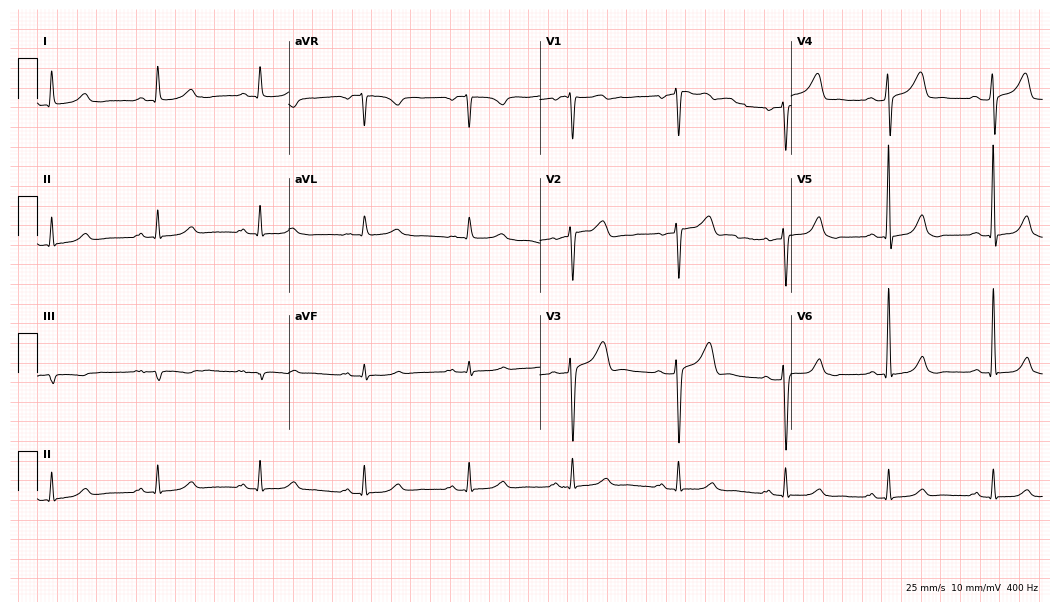
12-lead ECG (10.2-second recording at 400 Hz) from a male, 61 years old. Labelled as a normal ECG.